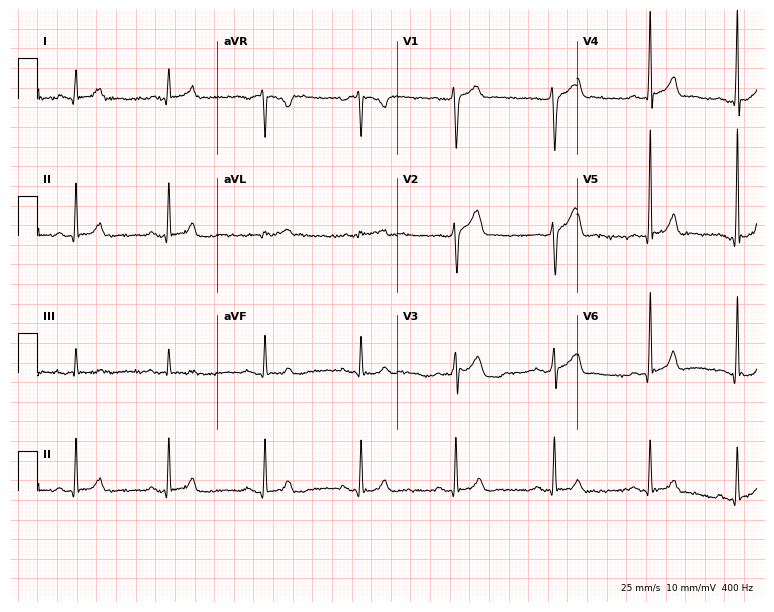
Resting 12-lead electrocardiogram. Patient: a male, 29 years old. None of these six findings is recorded: first-degree AV block, right bundle branch block, left bundle branch block, sinus bradycardia, atrial fibrillation, sinus tachycardia.